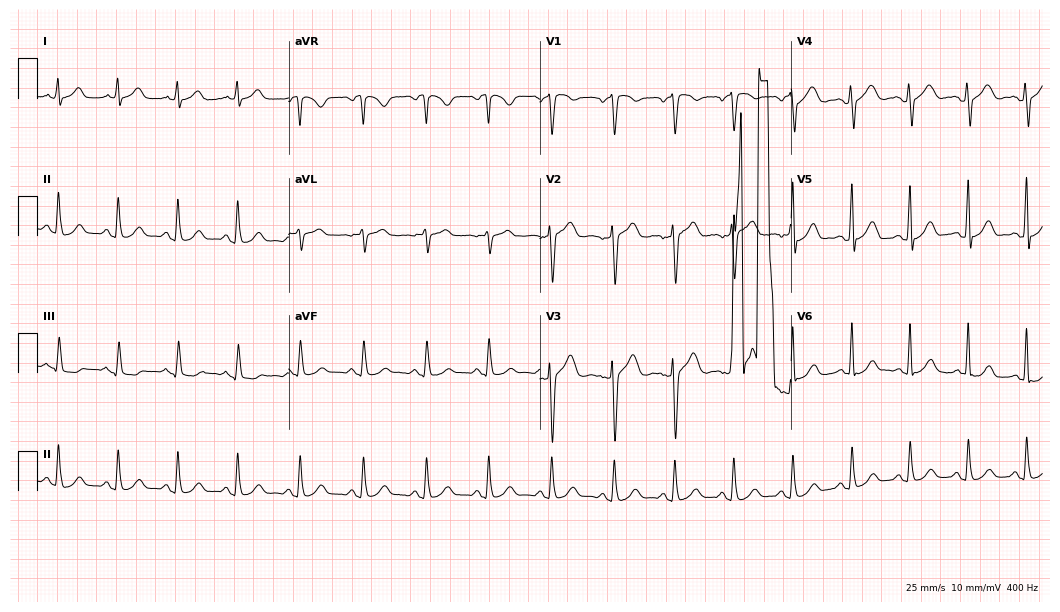
12-lead ECG from a female, 46 years old. Recorded interpretation: within normal limits.